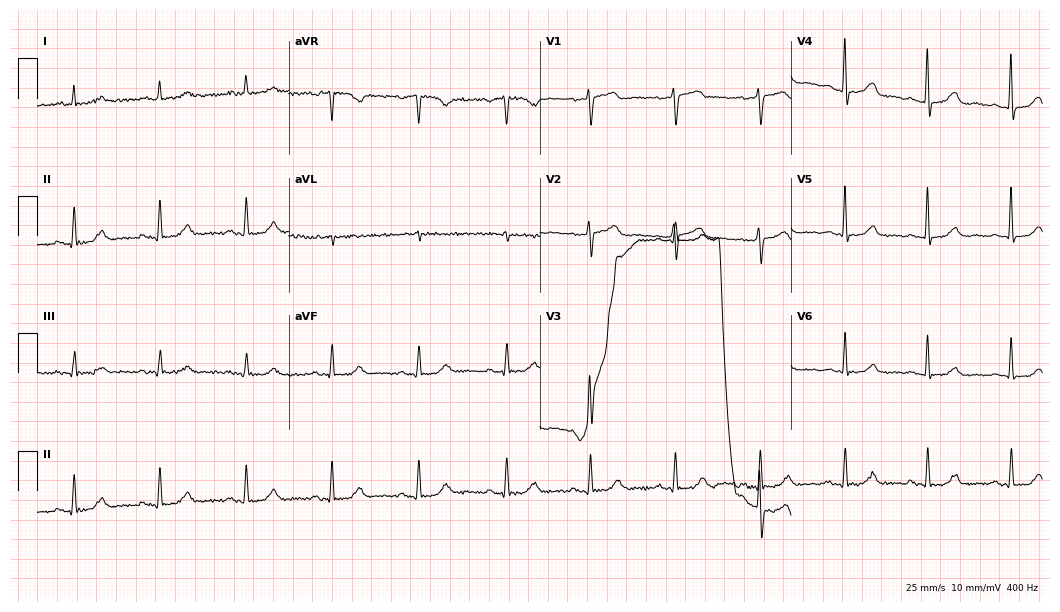
12-lead ECG from a man, 79 years old (10.2-second recording at 400 Hz). Recorded interpretation: within normal limits.